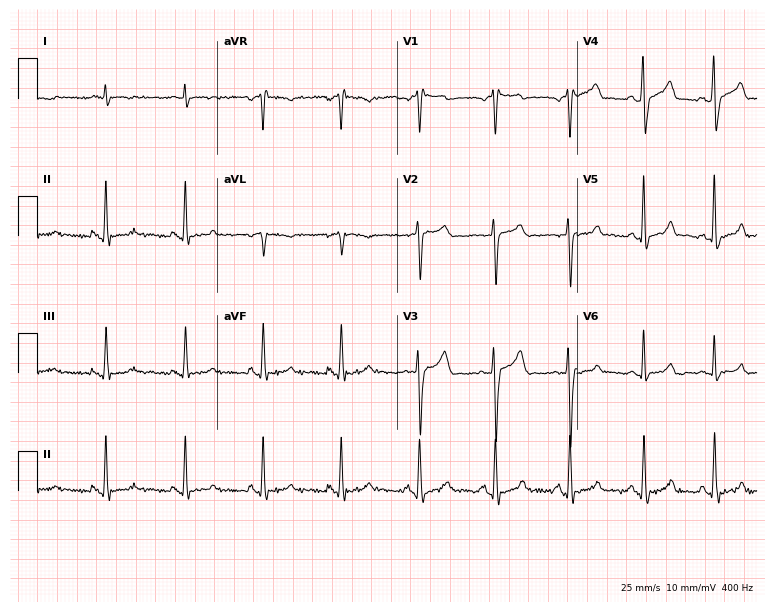
12-lead ECG from a man, 40 years old (7.3-second recording at 400 Hz). No first-degree AV block, right bundle branch block, left bundle branch block, sinus bradycardia, atrial fibrillation or sinus tachycardia recorded for this tracing.